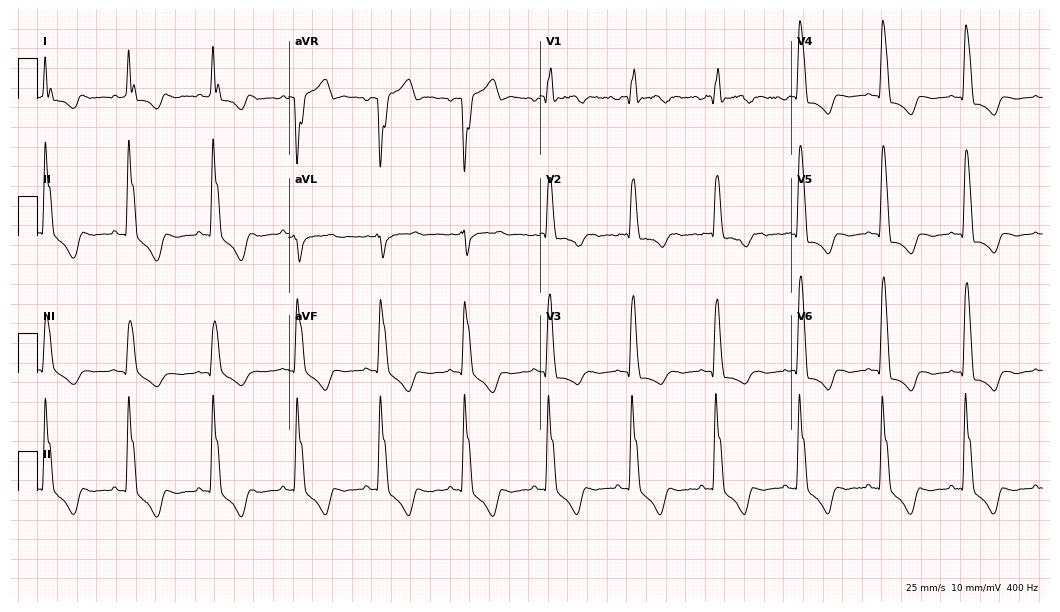
12-lead ECG from a 62-year-old female patient (10.2-second recording at 400 Hz). No first-degree AV block, right bundle branch block (RBBB), left bundle branch block (LBBB), sinus bradycardia, atrial fibrillation (AF) or sinus tachycardia recorded for this tracing. Findings outside these six are not listed.